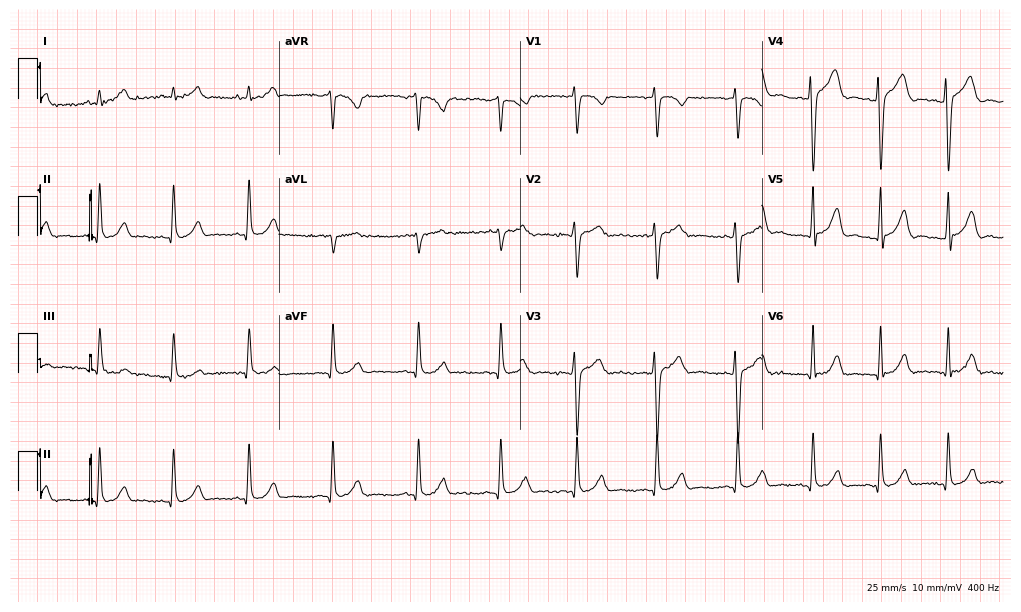
ECG — a male, 33 years old. Labelled as a normal ECG.